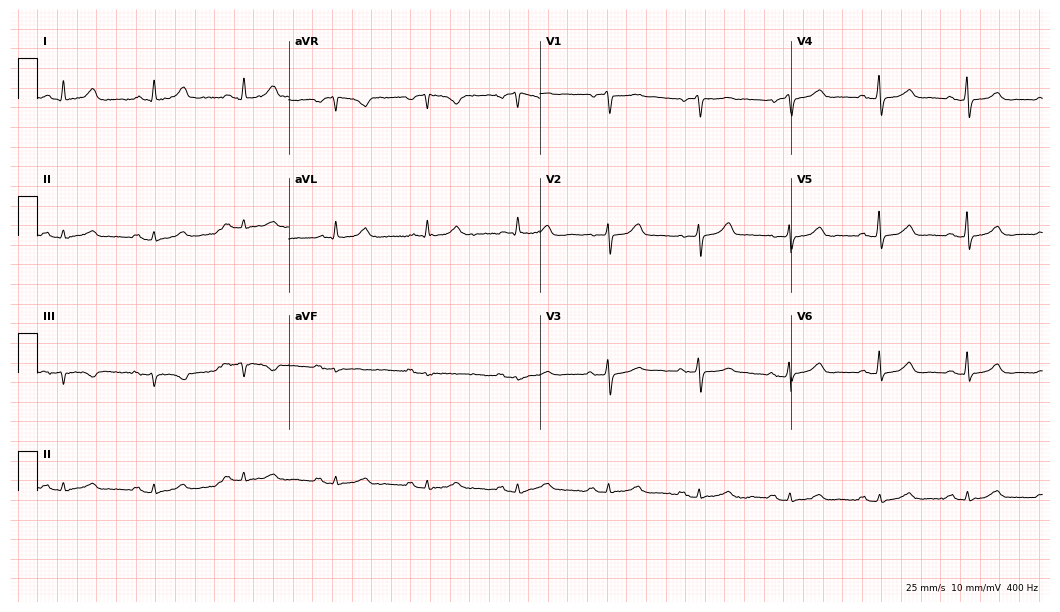
12-lead ECG from a female, 75 years old. Recorded interpretation: within normal limits.